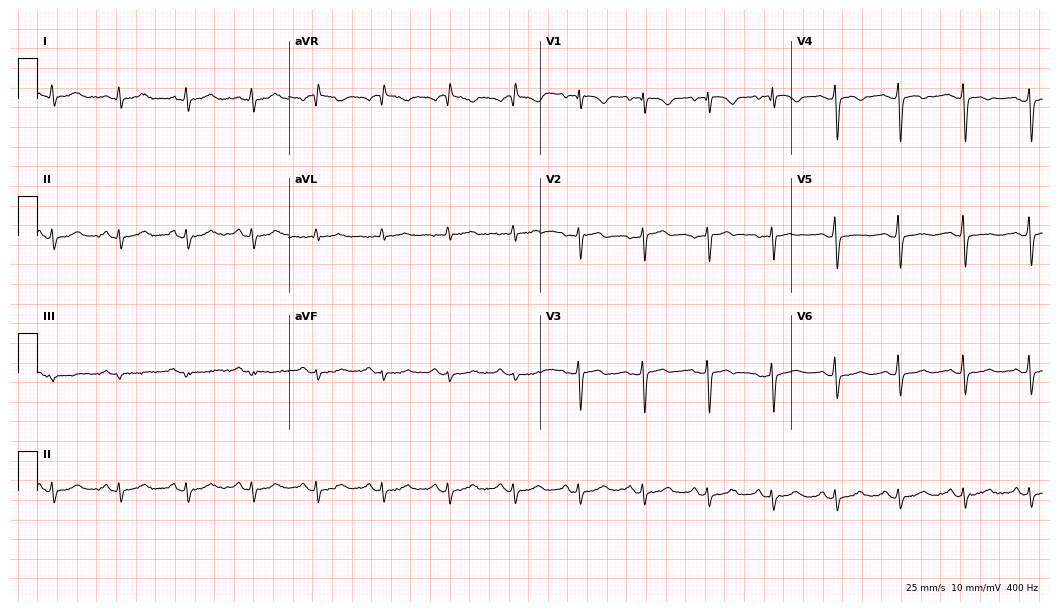
12-lead ECG (10.2-second recording at 400 Hz) from a female, 52 years old. Screened for six findings — first-degree AV block, right bundle branch block, left bundle branch block, sinus bradycardia, atrial fibrillation, sinus tachycardia — none is recorded. Findings outside these six are not listed.